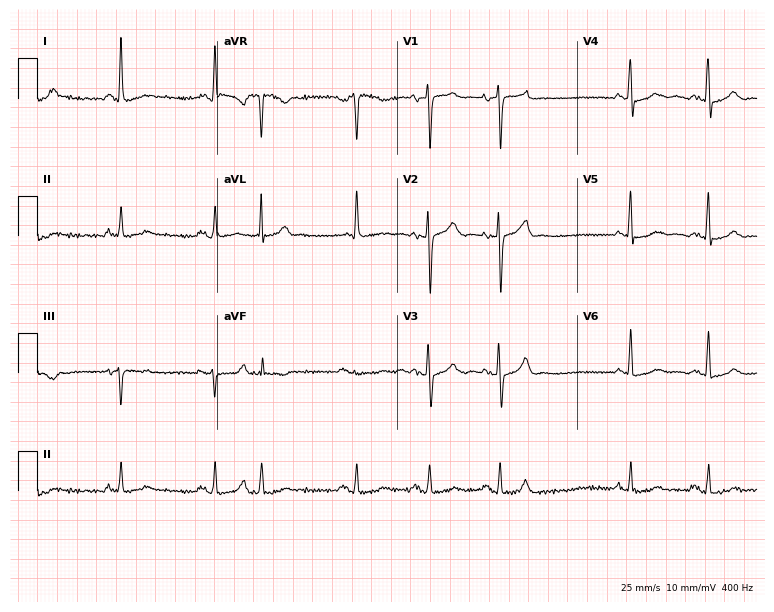
Standard 12-lead ECG recorded from a 74-year-old female patient. None of these six findings is recorded: first-degree AV block, right bundle branch block (RBBB), left bundle branch block (LBBB), sinus bradycardia, atrial fibrillation (AF), sinus tachycardia. Other findings, if any, are not listed.